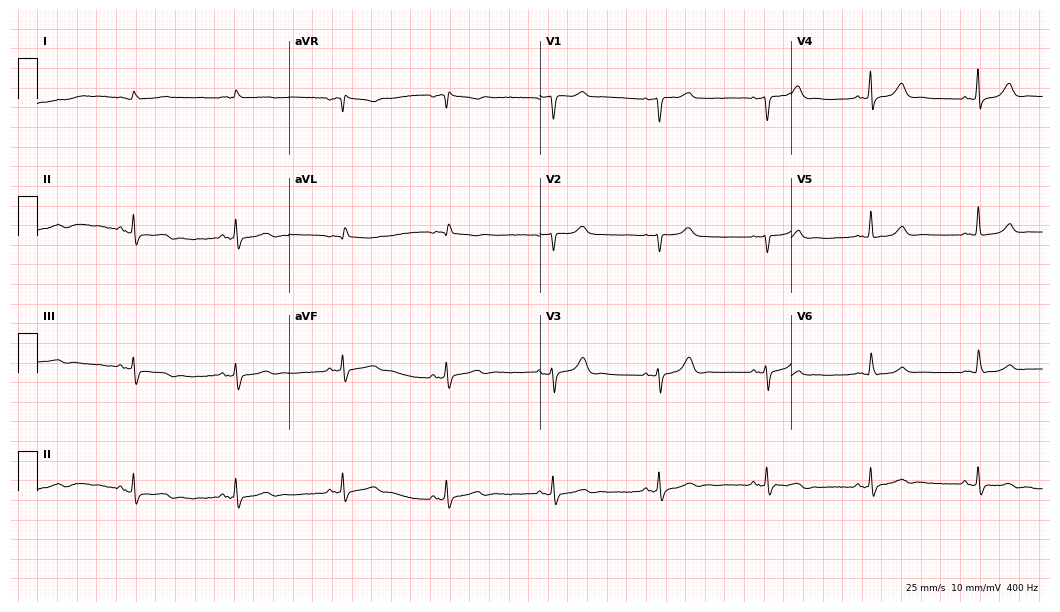
Standard 12-lead ECG recorded from an 80-year-old man. None of these six findings is recorded: first-degree AV block, right bundle branch block, left bundle branch block, sinus bradycardia, atrial fibrillation, sinus tachycardia. Other findings, if any, are not listed.